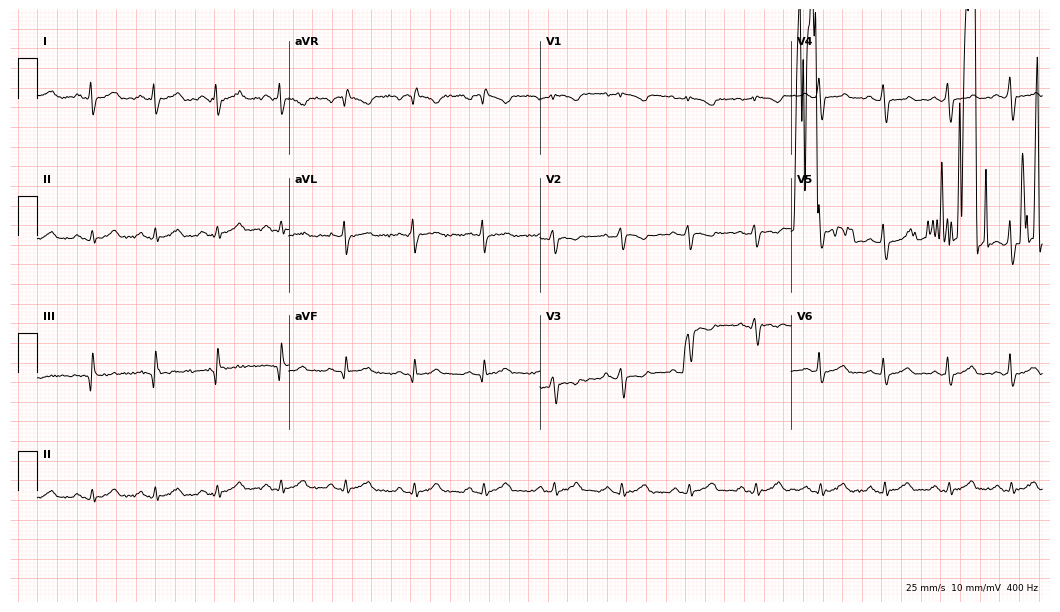
Electrocardiogram (10.2-second recording at 400 Hz), a man, 49 years old. Of the six screened findings (first-degree AV block, right bundle branch block, left bundle branch block, sinus bradycardia, atrial fibrillation, sinus tachycardia), none is recorded.